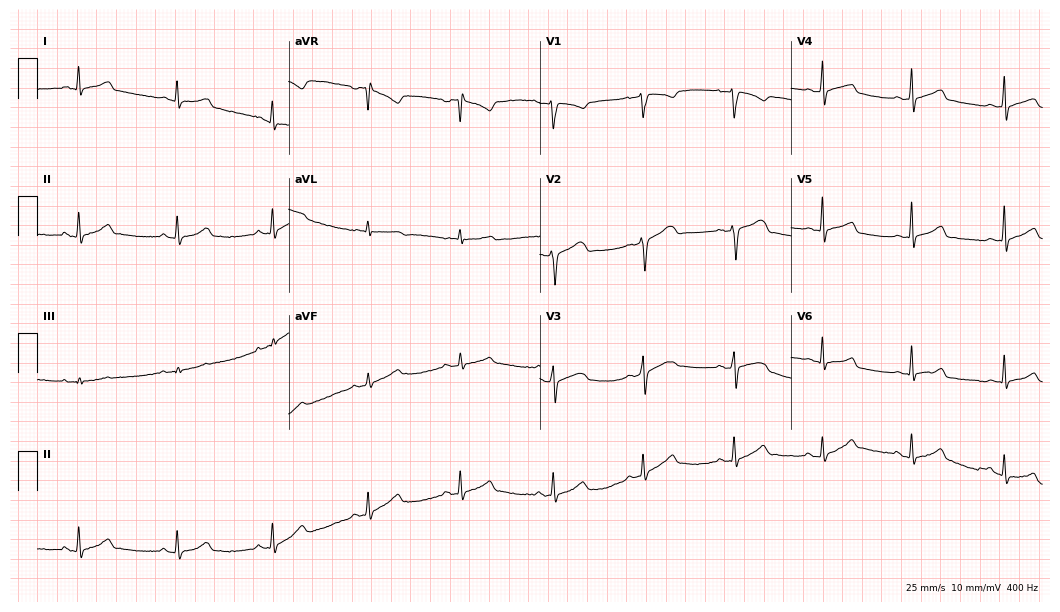
Resting 12-lead electrocardiogram. Patient: a 31-year-old female. Read as a normal ECG.